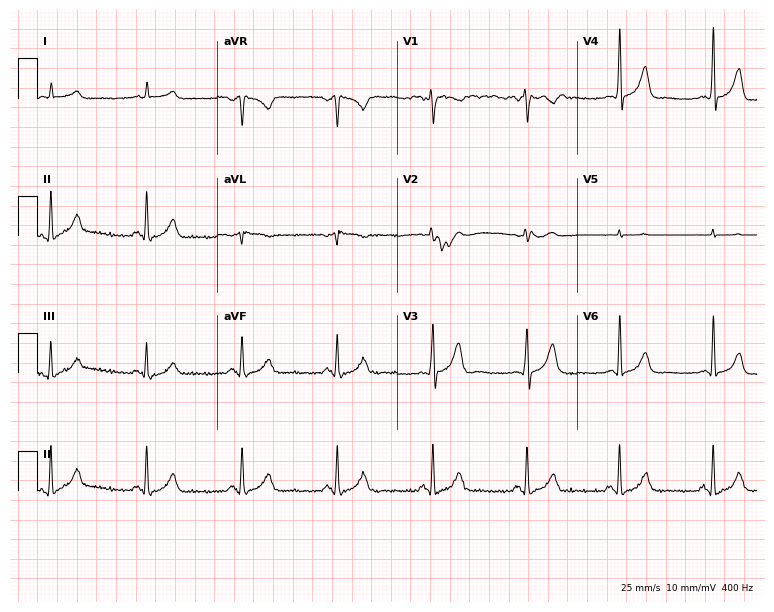
ECG — a 64-year-old man. Screened for six findings — first-degree AV block, right bundle branch block (RBBB), left bundle branch block (LBBB), sinus bradycardia, atrial fibrillation (AF), sinus tachycardia — none is recorded.